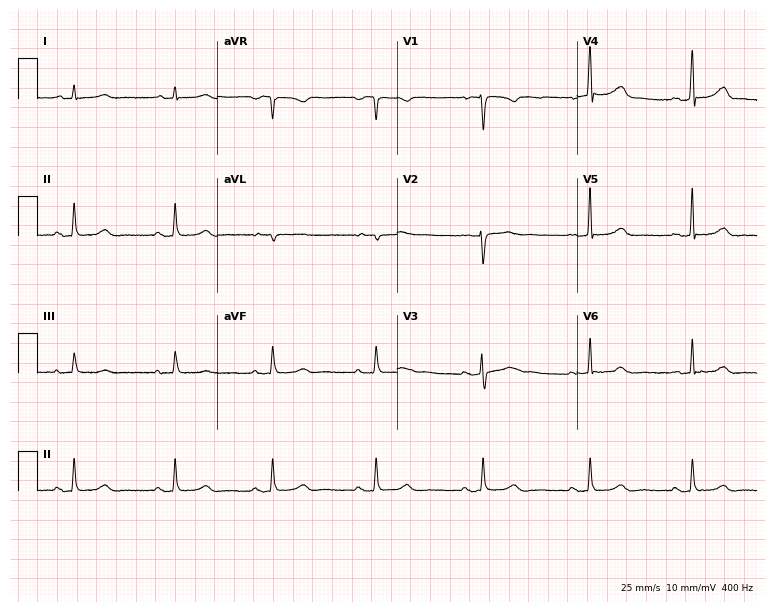
Resting 12-lead electrocardiogram. Patient: a female, 27 years old. None of these six findings is recorded: first-degree AV block, right bundle branch block, left bundle branch block, sinus bradycardia, atrial fibrillation, sinus tachycardia. Other findings, if any, are not listed.